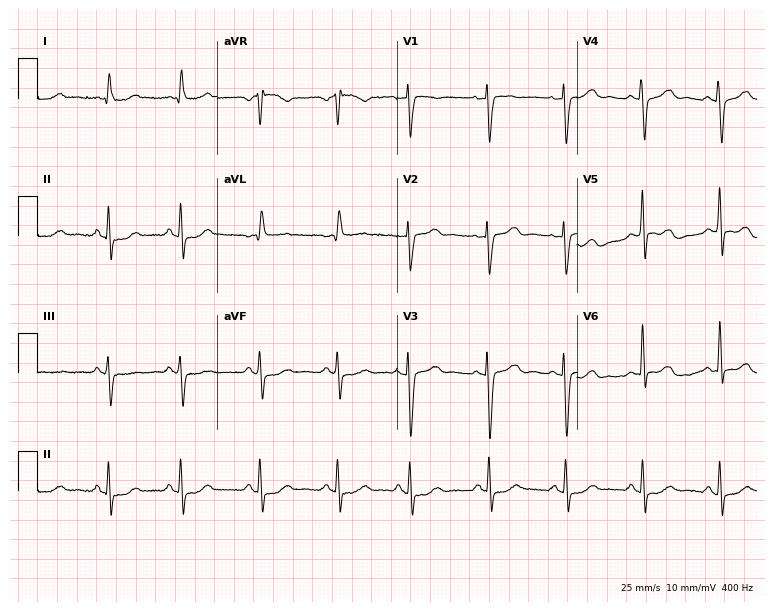
Standard 12-lead ECG recorded from a woman, 70 years old (7.3-second recording at 400 Hz). Read as a normal ECG.